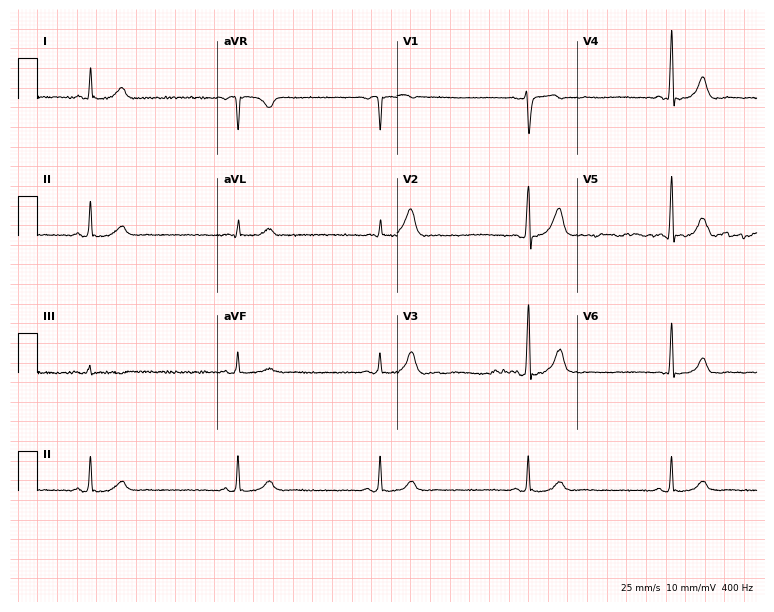
ECG — a 54-year-old man. Findings include sinus bradycardia (a sinus rate of 50 beats per minute or less).